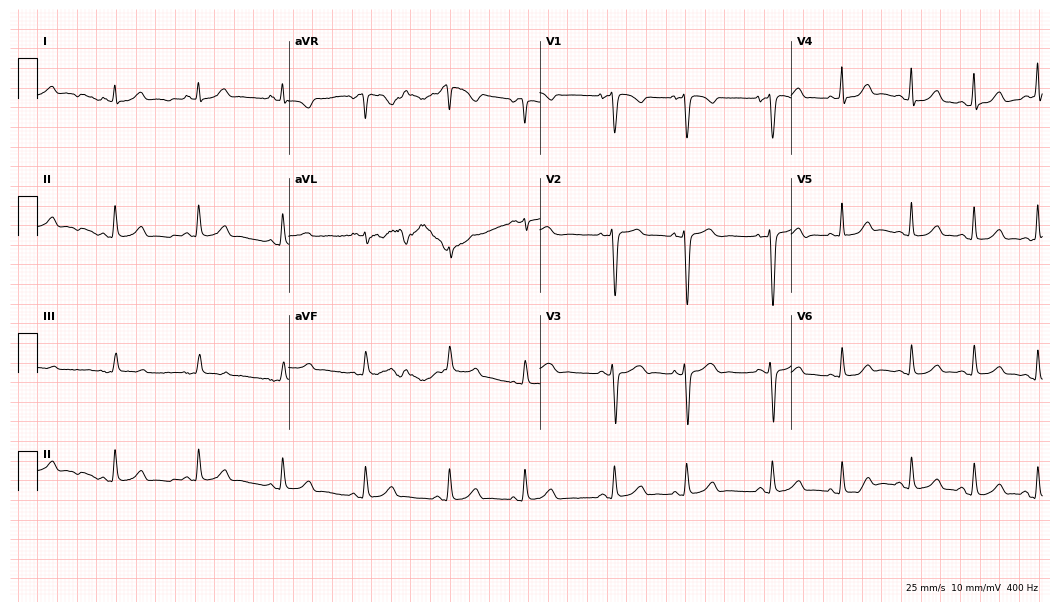
Resting 12-lead electrocardiogram (10.2-second recording at 400 Hz). Patient: a female, 25 years old. Read as a normal ECG.